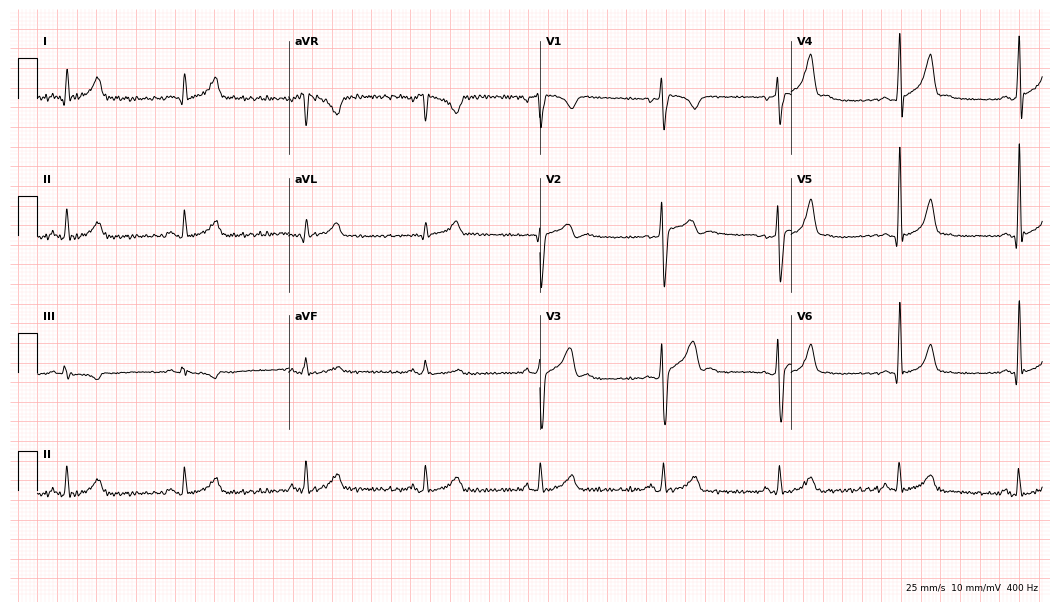
Resting 12-lead electrocardiogram. Patient: a 32-year-old male. None of these six findings is recorded: first-degree AV block, right bundle branch block, left bundle branch block, sinus bradycardia, atrial fibrillation, sinus tachycardia.